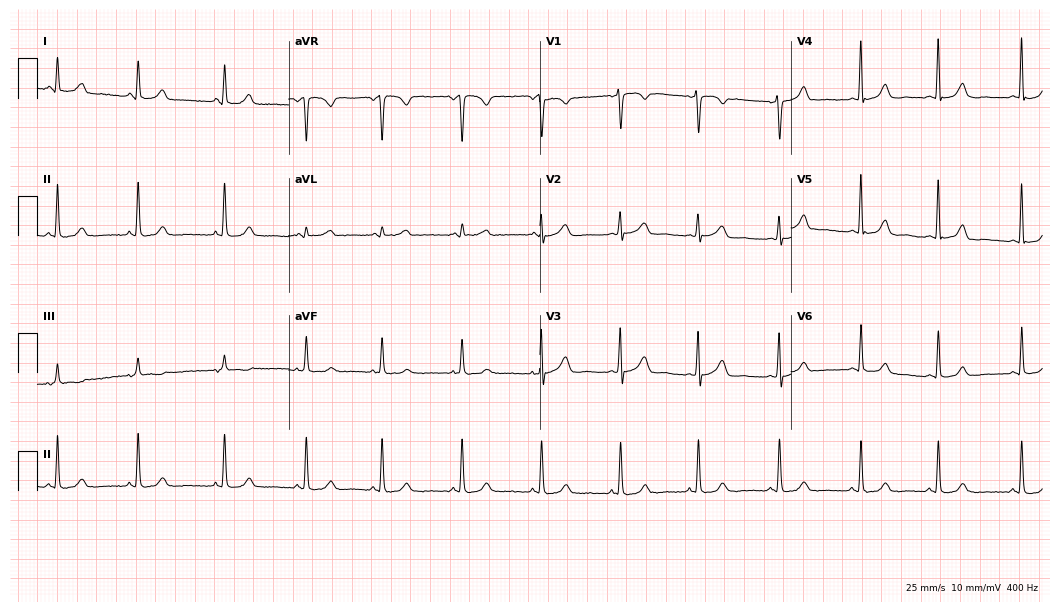
Electrocardiogram, a female, 37 years old. Of the six screened findings (first-degree AV block, right bundle branch block, left bundle branch block, sinus bradycardia, atrial fibrillation, sinus tachycardia), none is recorded.